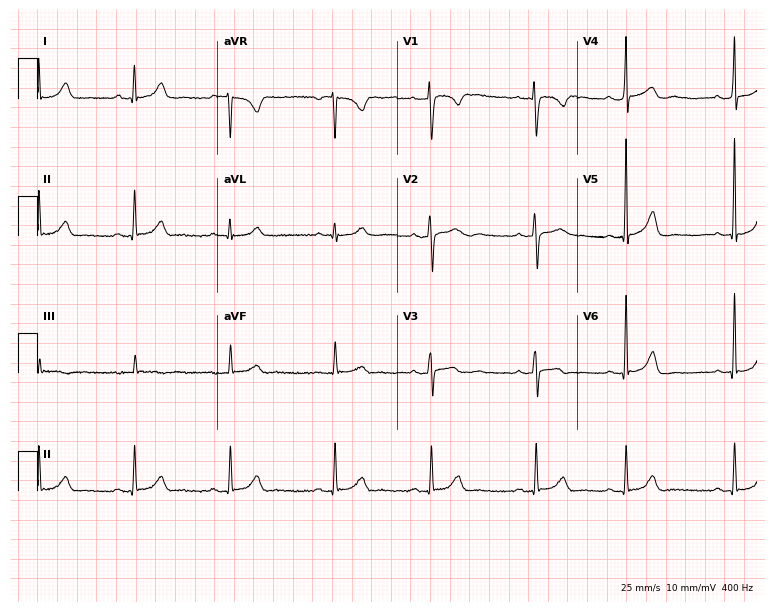
12-lead ECG from a woman, 20 years old (7.3-second recording at 400 Hz). No first-degree AV block, right bundle branch block (RBBB), left bundle branch block (LBBB), sinus bradycardia, atrial fibrillation (AF) or sinus tachycardia recorded for this tracing. Other findings, if any, are not listed.